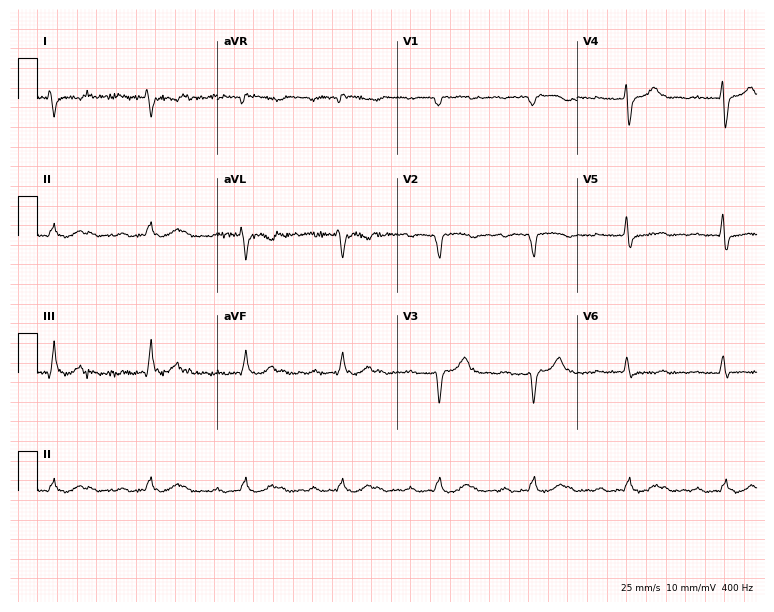
Resting 12-lead electrocardiogram (7.3-second recording at 400 Hz). Patient: a 57-year-old female. The tracing shows first-degree AV block.